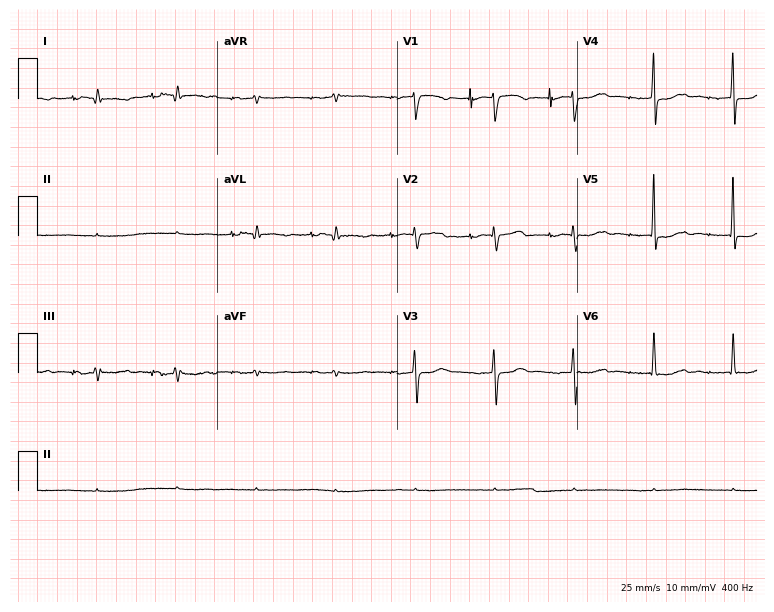
Resting 12-lead electrocardiogram (7.3-second recording at 400 Hz). Patient: an 83-year-old woman. None of these six findings is recorded: first-degree AV block, right bundle branch block (RBBB), left bundle branch block (LBBB), sinus bradycardia, atrial fibrillation (AF), sinus tachycardia.